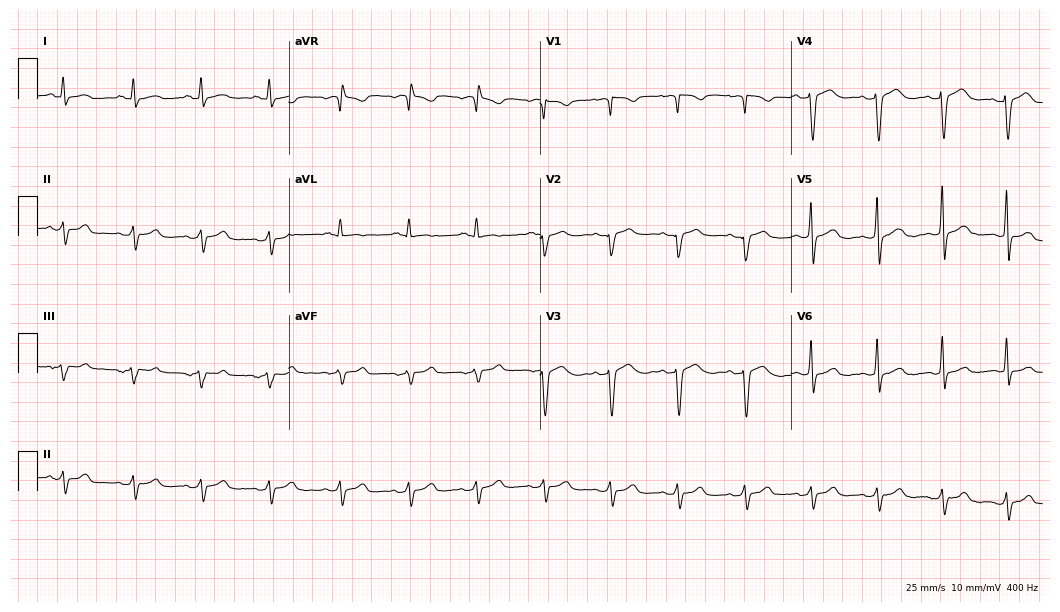
Standard 12-lead ECG recorded from a 33-year-old female (10.2-second recording at 400 Hz). Read as a normal ECG.